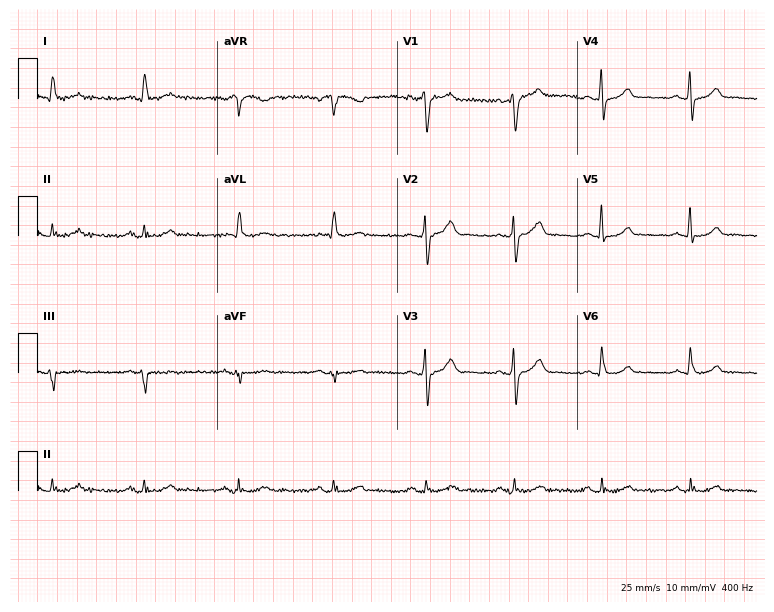
12-lead ECG from a 58-year-old female patient. Recorded interpretation: within normal limits.